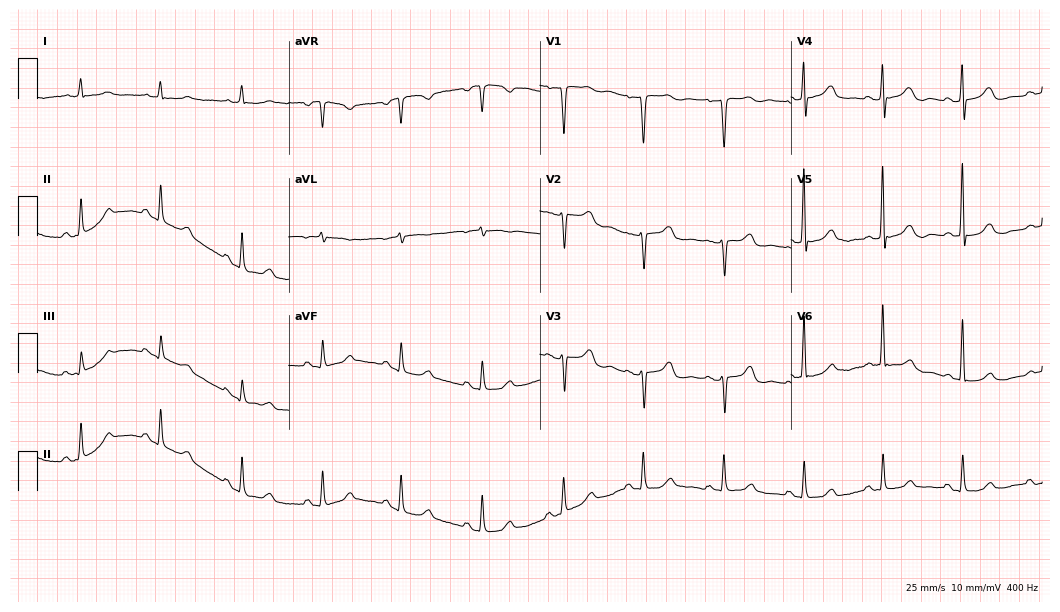
Electrocardiogram, a female, 71 years old. Overall reading on record: normal ECG.